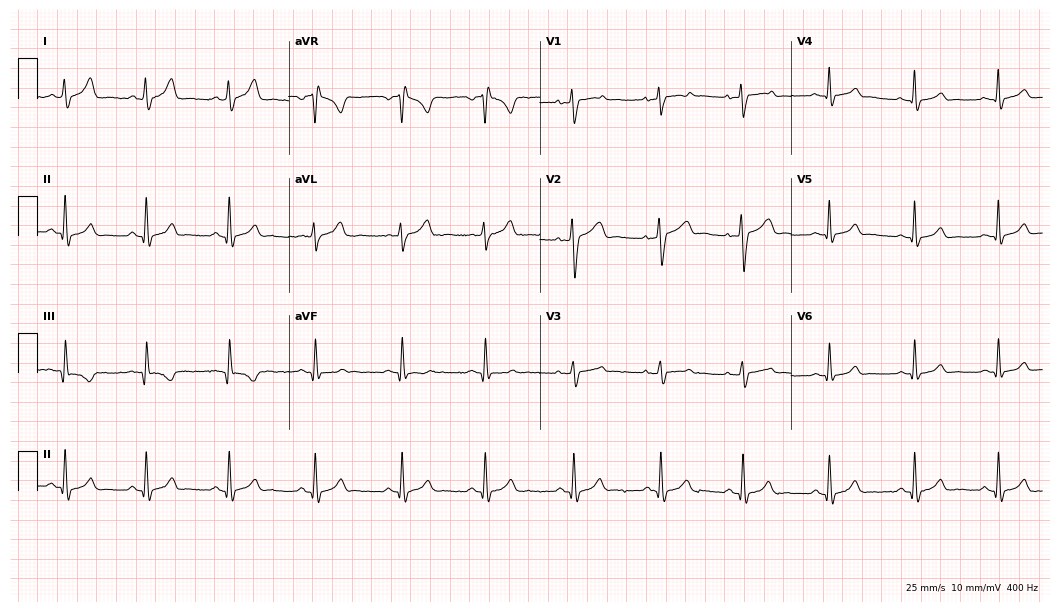
ECG — a female patient, 26 years old. Labelled as a normal ECG.